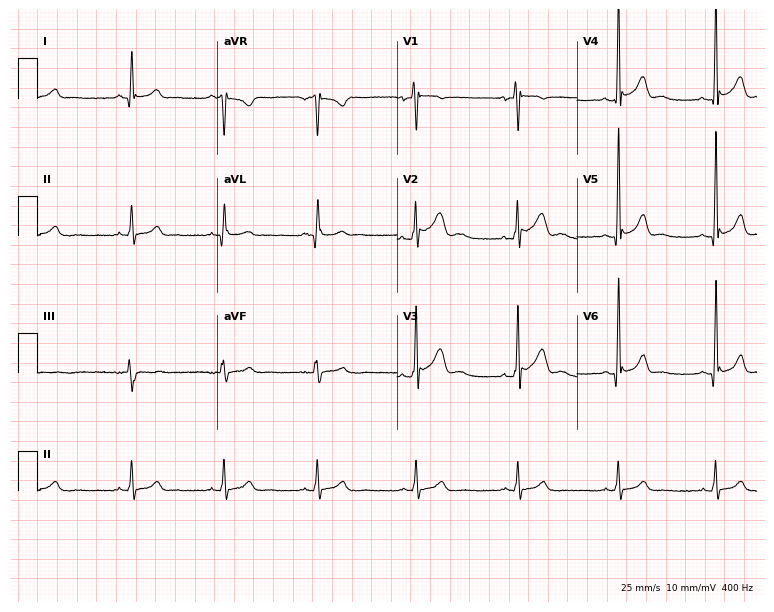
12-lead ECG (7.3-second recording at 400 Hz) from a male, 22 years old. Labelled as a normal ECG.